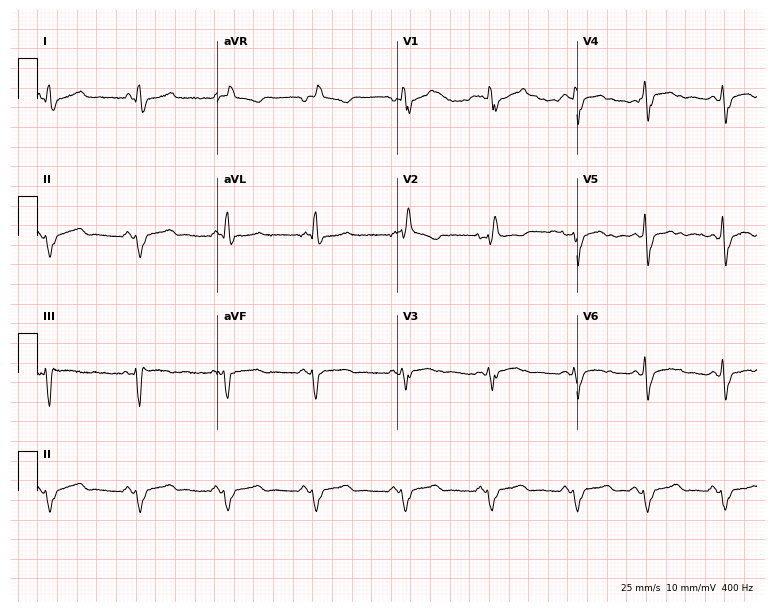
Standard 12-lead ECG recorded from a woman, 65 years old. None of these six findings is recorded: first-degree AV block, right bundle branch block, left bundle branch block, sinus bradycardia, atrial fibrillation, sinus tachycardia.